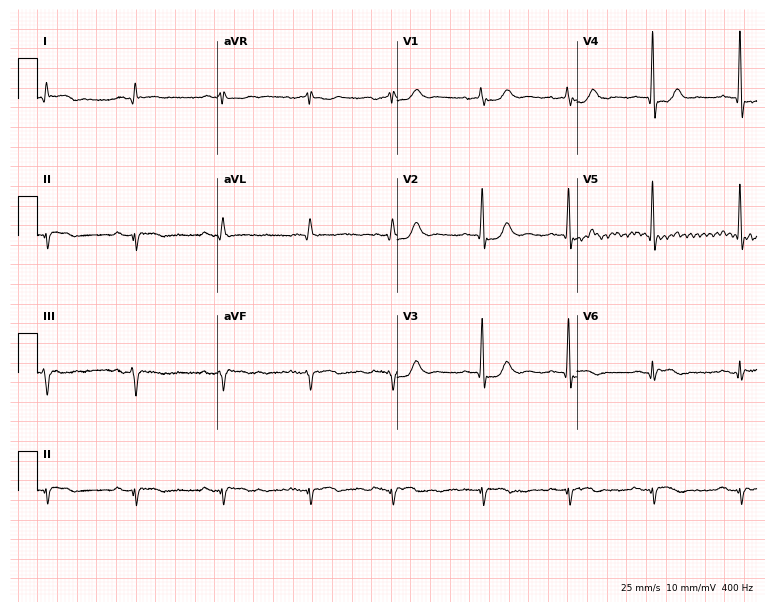
12-lead ECG from an 85-year-old male patient (7.3-second recording at 400 Hz). No first-degree AV block, right bundle branch block, left bundle branch block, sinus bradycardia, atrial fibrillation or sinus tachycardia recorded for this tracing.